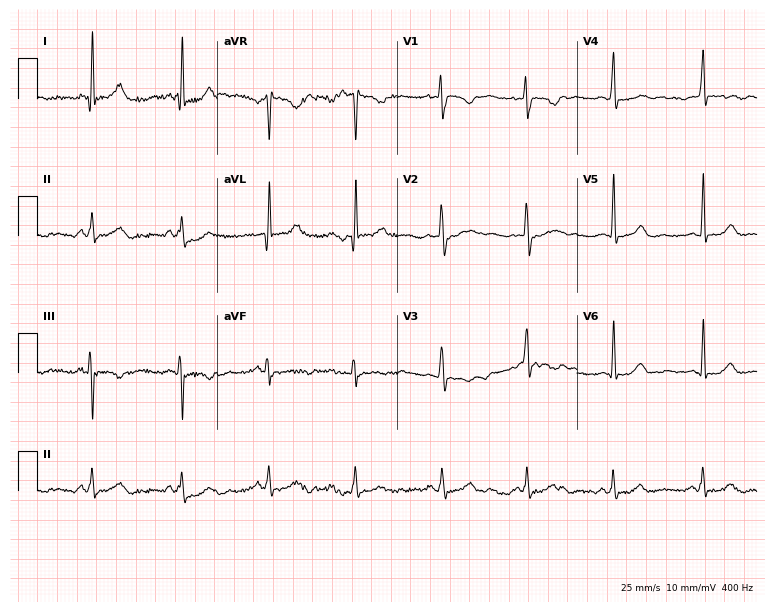
Resting 12-lead electrocardiogram. Patient: a 40-year-old woman. Read as a normal ECG.